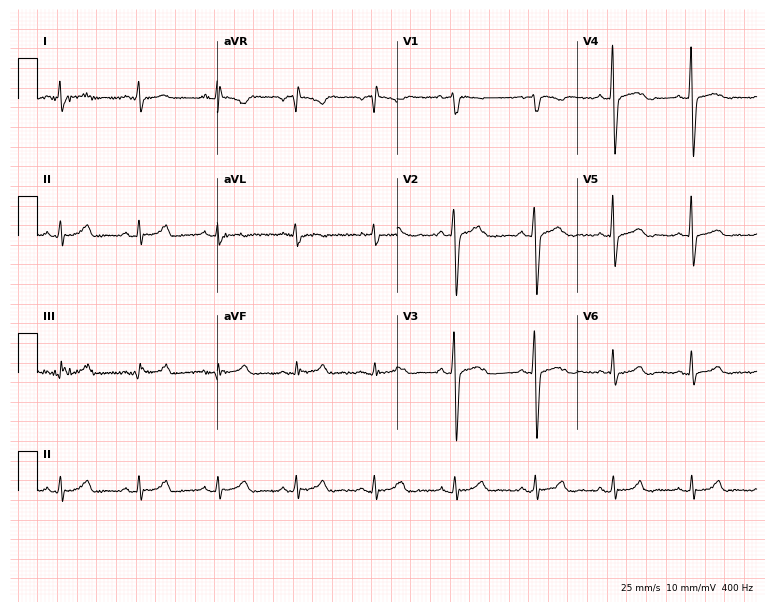
12-lead ECG from a 36-year-old man. Labelled as a normal ECG.